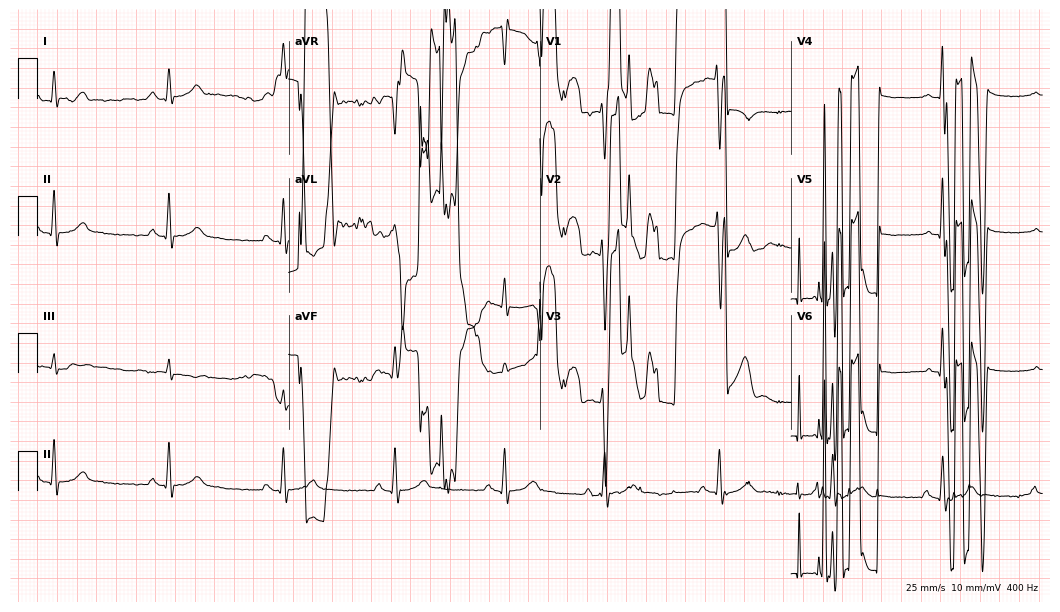
Resting 12-lead electrocardiogram (10.2-second recording at 400 Hz). Patient: a male, 28 years old. None of these six findings is recorded: first-degree AV block, right bundle branch block, left bundle branch block, sinus bradycardia, atrial fibrillation, sinus tachycardia.